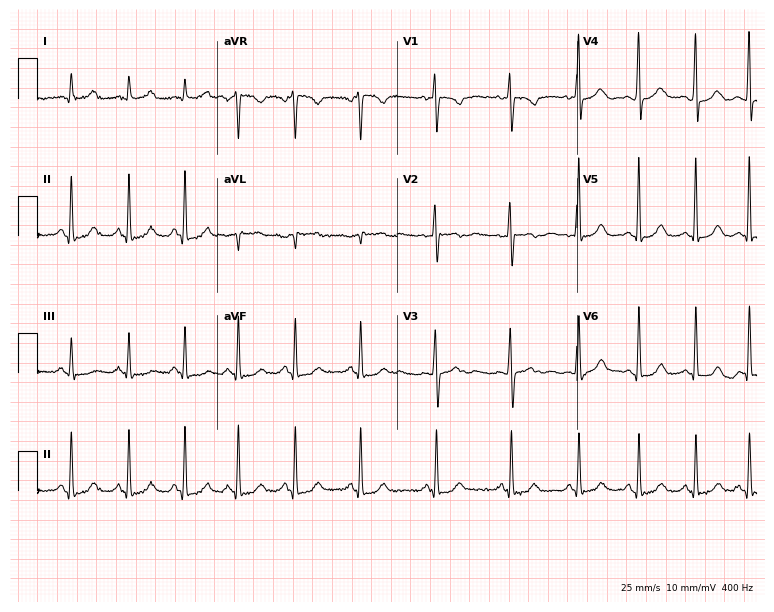
Resting 12-lead electrocardiogram (7.3-second recording at 400 Hz). Patient: a 27-year-old female. None of these six findings is recorded: first-degree AV block, right bundle branch block, left bundle branch block, sinus bradycardia, atrial fibrillation, sinus tachycardia. Findings outside these six are not listed.